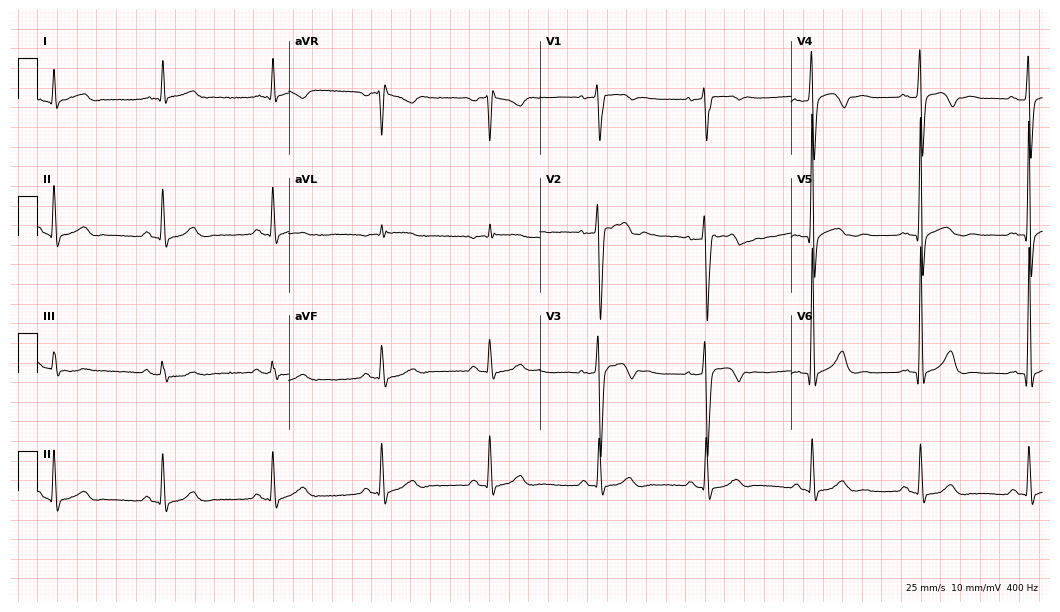
ECG — a 69-year-old man. Screened for six findings — first-degree AV block, right bundle branch block, left bundle branch block, sinus bradycardia, atrial fibrillation, sinus tachycardia — none is recorded. Only these six findings were labelled.